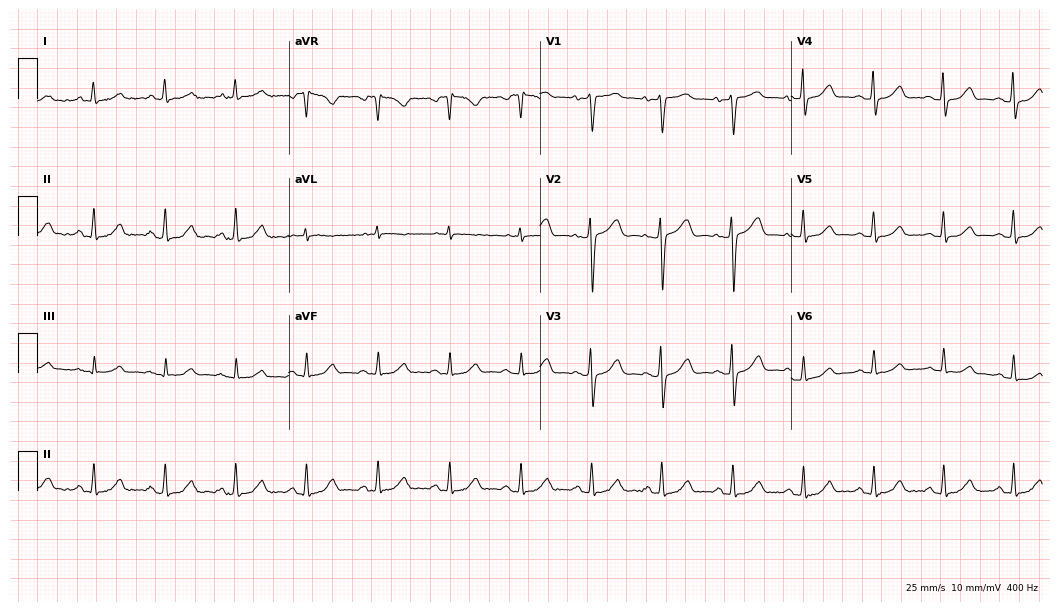
ECG — a female, 56 years old. Labelled as a normal ECG.